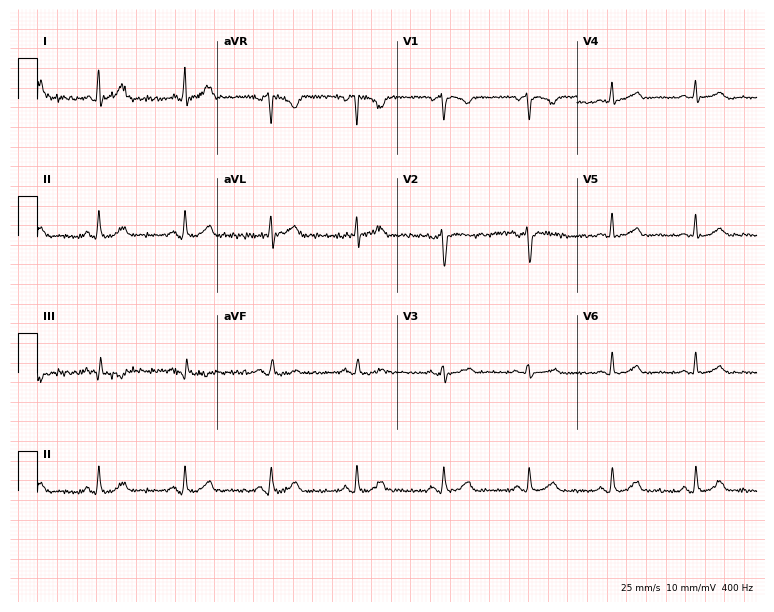
12-lead ECG from a female patient, 37 years old. Labelled as a normal ECG.